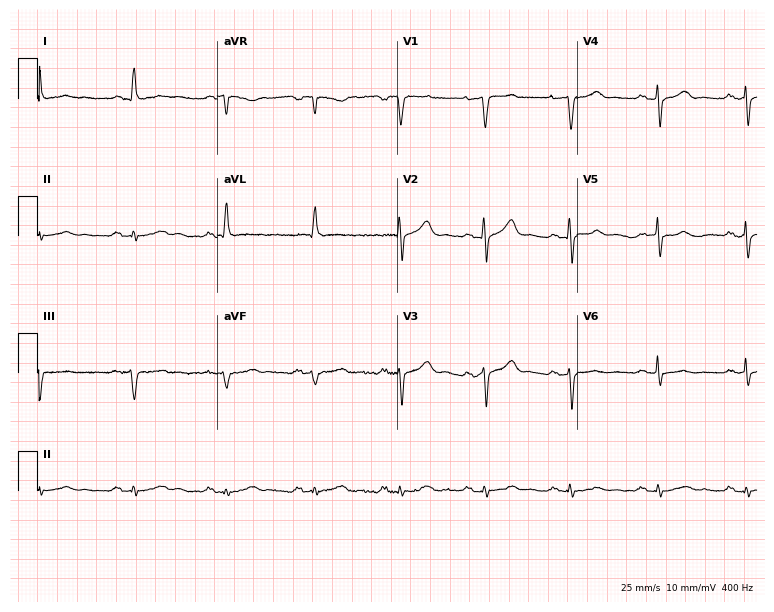
Electrocardiogram, a 79-year-old male. Of the six screened findings (first-degree AV block, right bundle branch block (RBBB), left bundle branch block (LBBB), sinus bradycardia, atrial fibrillation (AF), sinus tachycardia), none is recorded. Other findings, if any, are not listed.